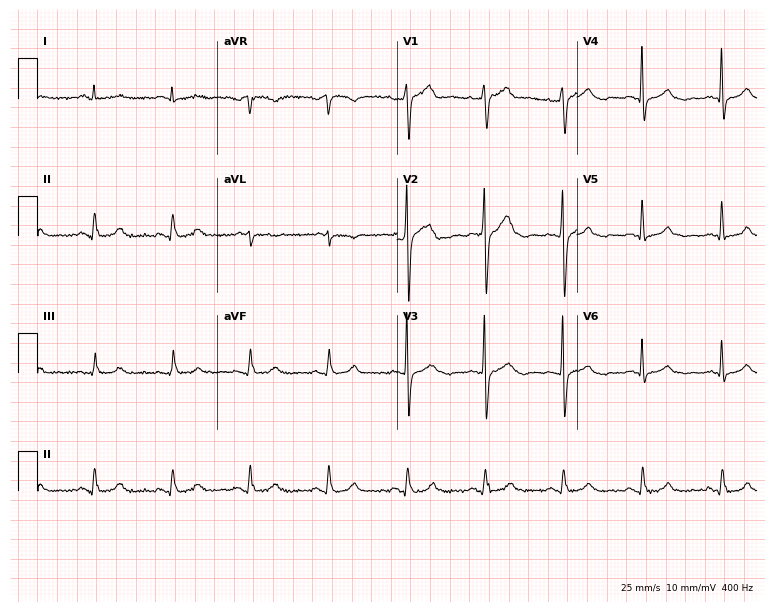
Resting 12-lead electrocardiogram. Patient: a 64-year-old male. None of these six findings is recorded: first-degree AV block, right bundle branch block, left bundle branch block, sinus bradycardia, atrial fibrillation, sinus tachycardia.